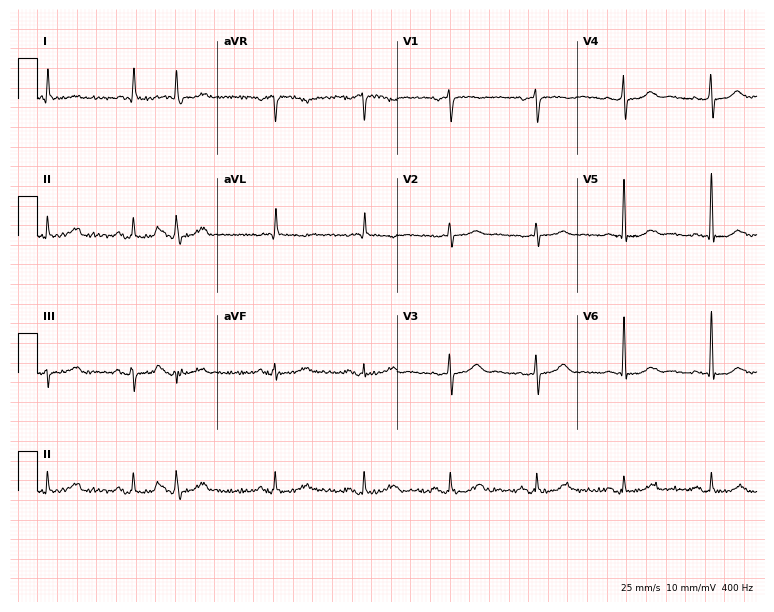
Standard 12-lead ECG recorded from an 81-year-old female (7.3-second recording at 400 Hz). None of these six findings is recorded: first-degree AV block, right bundle branch block, left bundle branch block, sinus bradycardia, atrial fibrillation, sinus tachycardia. Other findings, if any, are not listed.